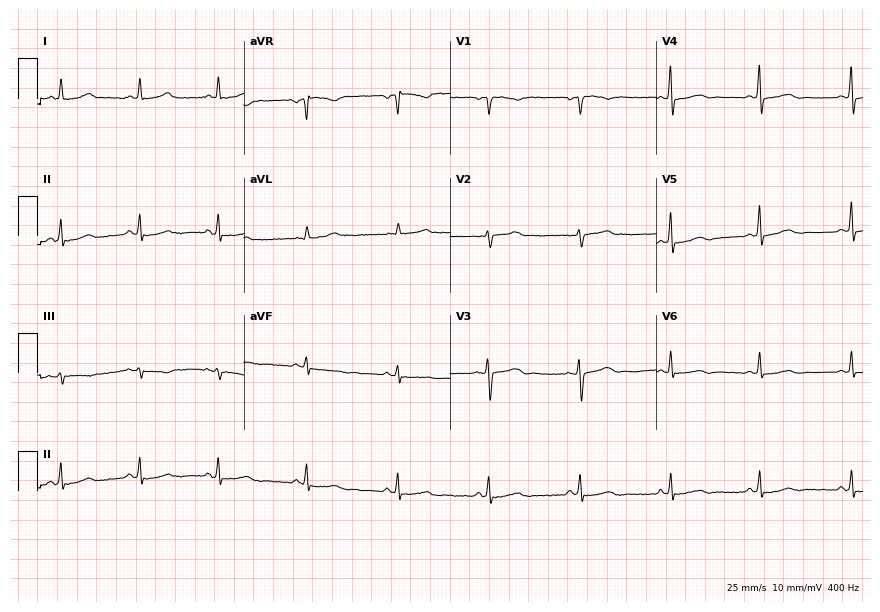
Electrocardiogram, a female patient, 46 years old. Of the six screened findings (first-degree AV block, right bundle branch block, left bundle branch block, sinus bradycardia, atrial fibrillation, sinus tachycardia), none is recorded. Other findings, if any, are not listed.